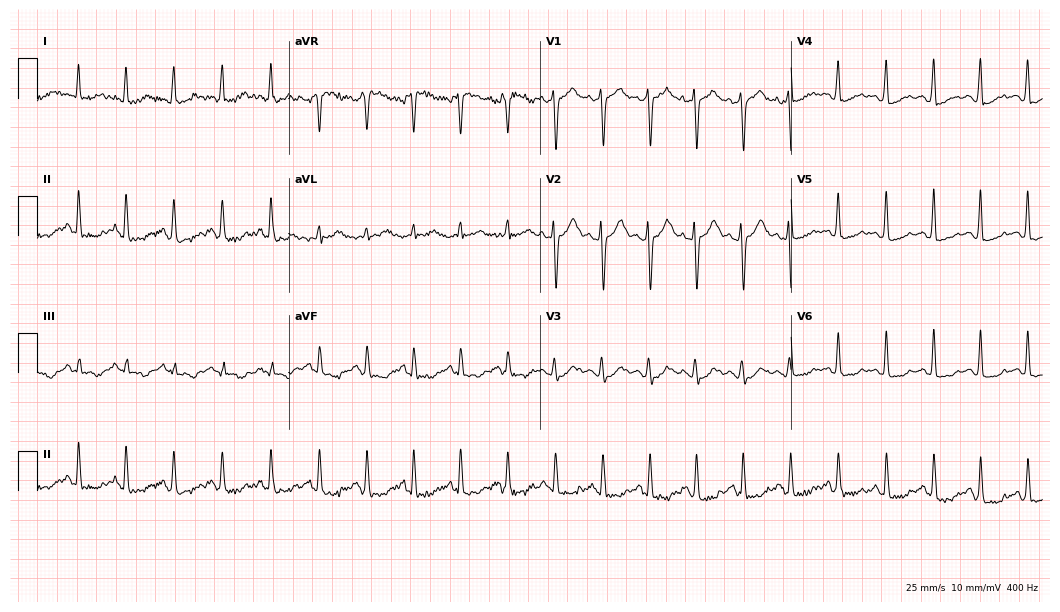
Electrocardiogram, a 35-year-old female patient. Interpretation includes sinus tachycardia (a sinus rate of 100 beats per minute or more).